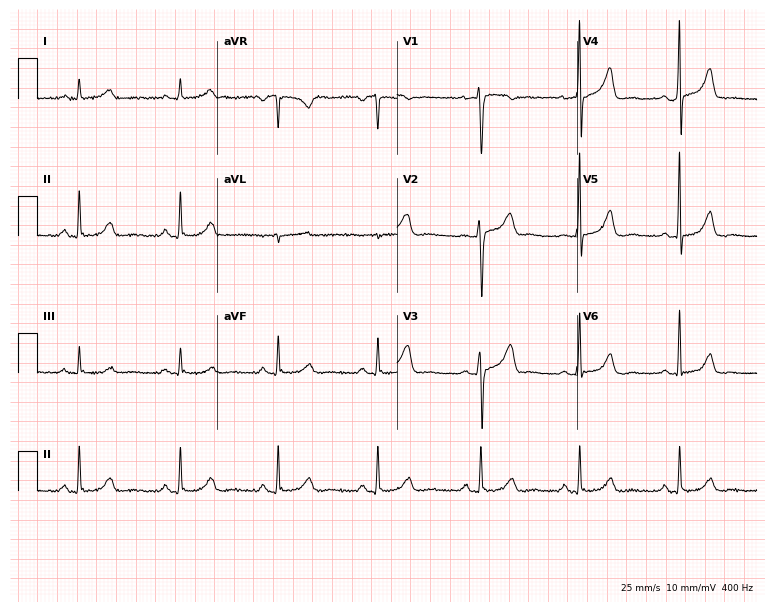
Electrocardiogram (7.3-second recording at 400 Hz), a woman, 51 years old. Of the six screened findings (first-degree AV block, right bundle branch block, left bundle branch block, sinus bradycardia, atrial fibrillation, sinus tachycardia), none is recorded.